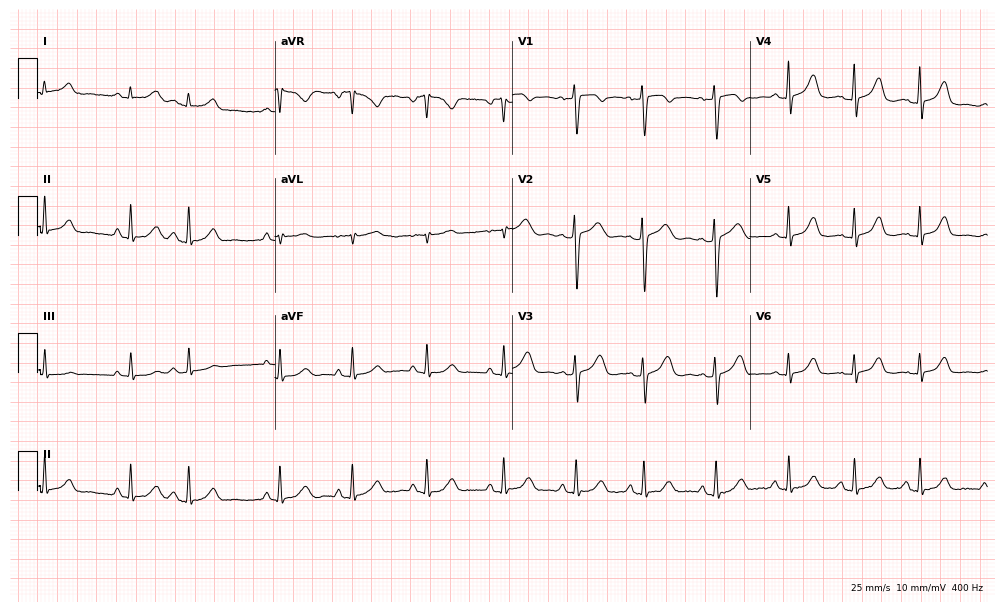
12-lead ECG from a female patient, 34 years old. Labelled as a normal ECG.